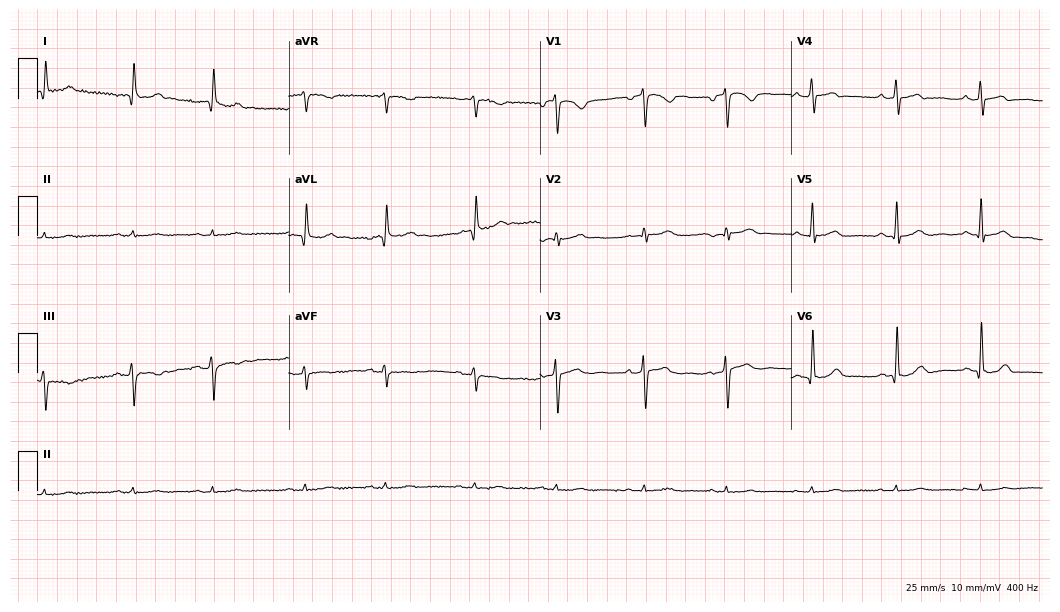
12-lead ECG from a 71-year-old female patient. Screened for six findings — first-degree AV block, right bundle branch block, left bundle branch block, sinus bradycardia, atrial fibrillation, sinus tachycardia — none is recorded. Other findings, if any, are not listed.